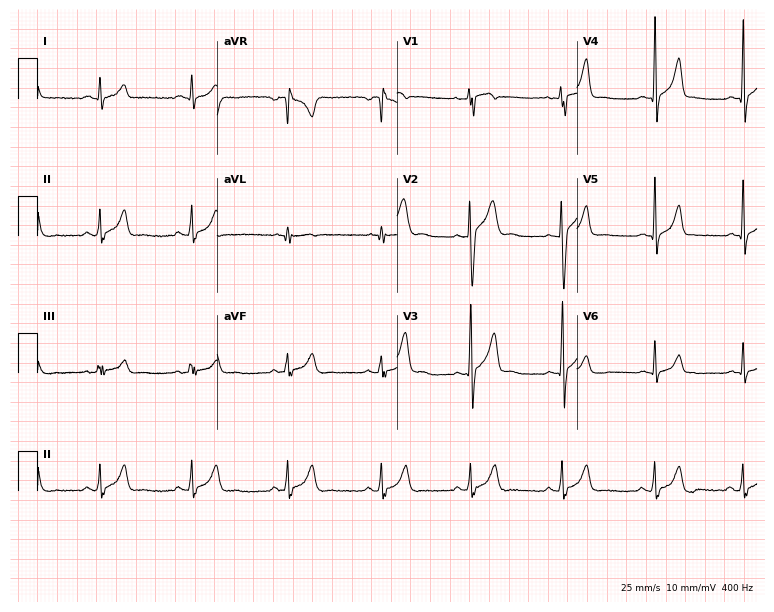
12-lead ECG from a 21-year-old man. No first-degree AV block, right bundle branch block (RBBB), left bundle branch block (LBBB), sinus bradycardia, atrial fibrillation (AF) or sinus tachycardia recorded for this tracing. Other findings, if any, are not listed.